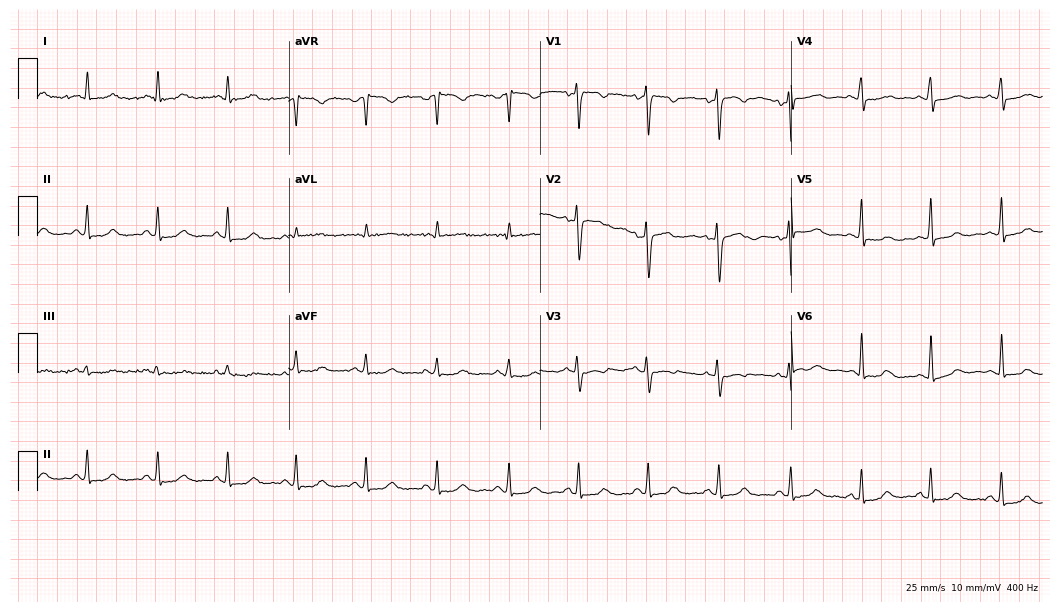
12-lead ECG (10.2-second recording at 400 Hz) from a female, 43 years old. Labelled as a normal ECG.